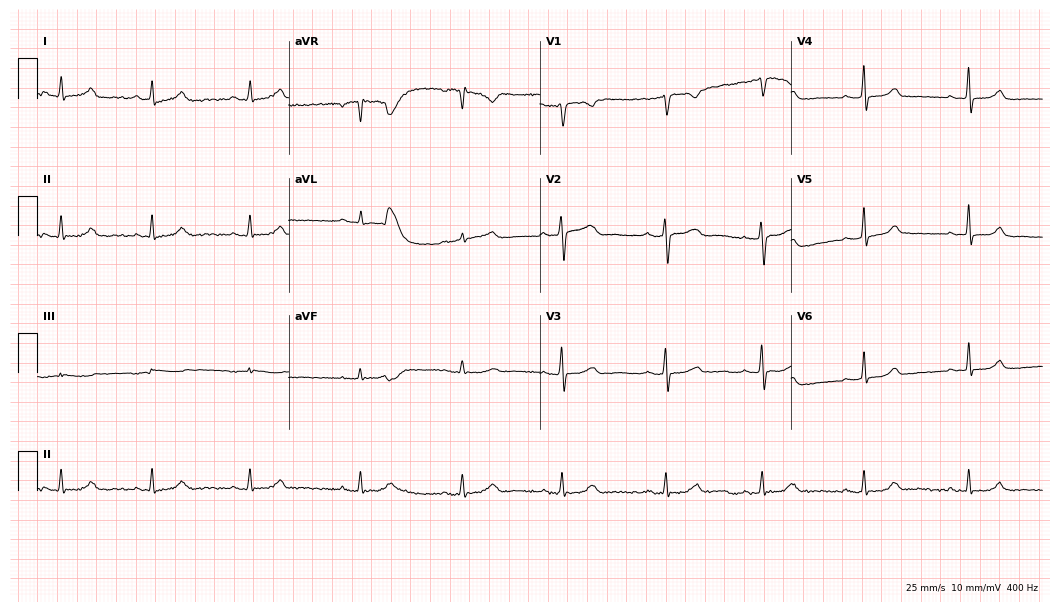
Standard 12-lead ECG recorded from a woman, 45 years old (10.2-second recording at 400 Hz). Read as a normal ECG.